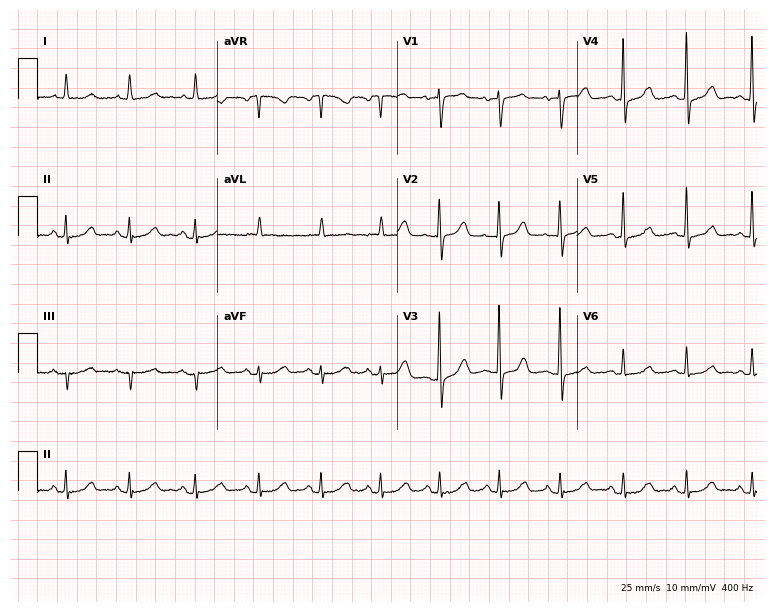
12-lead ECG (7.3-second recording at 400 Hz) from a female, 75 years old. Labelled as a normal ECG.